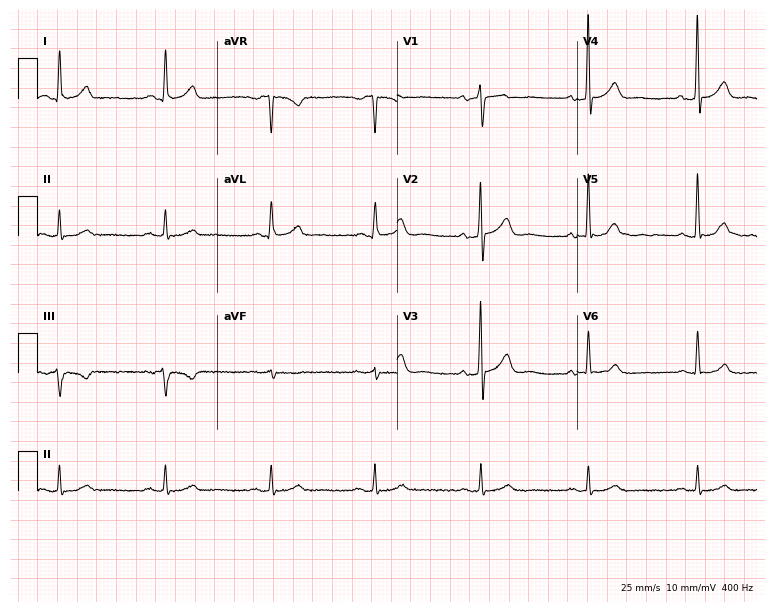
12-lead ECG from a man, 59 years old. Screened for six findings — first-degree AV block, right bundle branch block, left bundle branch block, sinus bradycardia, atrial fibrillation, sinus tachycardia — none is recorded.